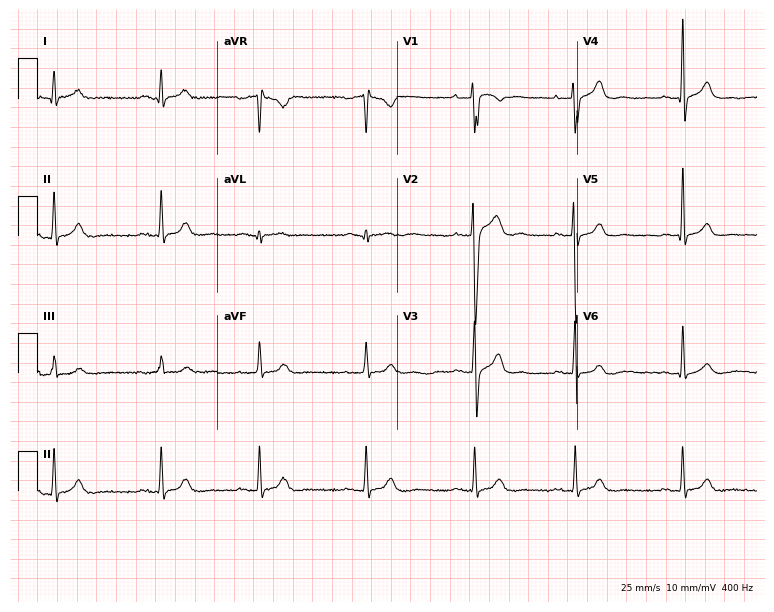
Electrocardiogram, a 32-year-old male patient. Overall reading on record: normal ECG.